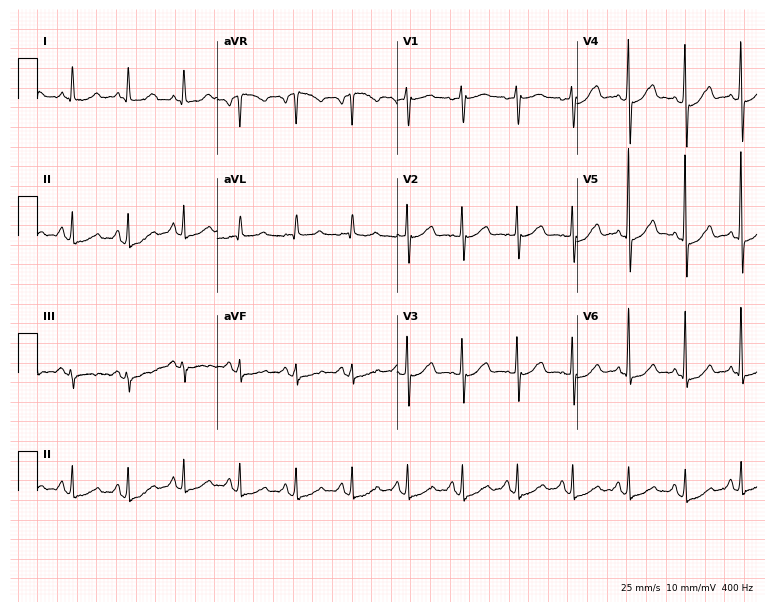
ECG — a 71-year-old female. Findings include sinus tachycardia (a sinus rate of 100 beats per minute or more).